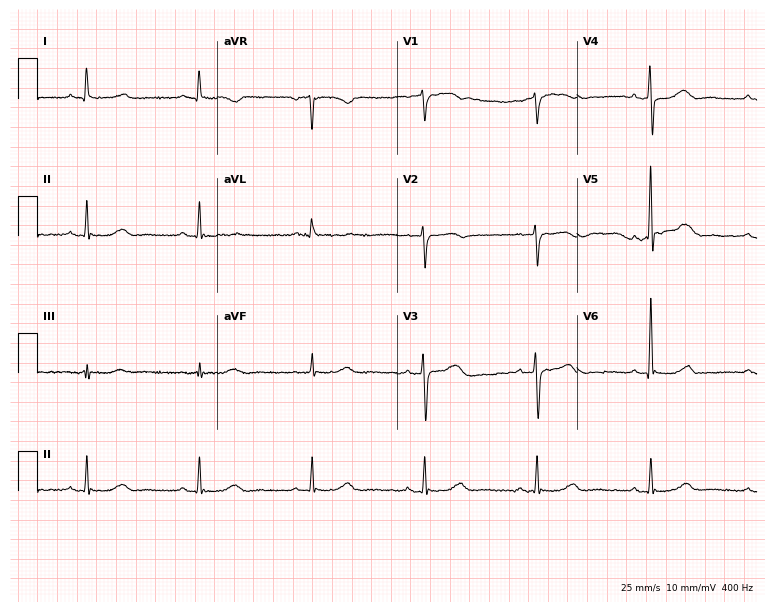
12-lead ECG from an 81-year-old male patient (7.3-second recording at 400 Hz). No first-degree AV block, right bundle branch block (RBBB), left bundle branch block (LBBB), sinus bradycardia, atrial fibrillation (AF) or sinus tachycardia recorded for this tracing. Findings outside these six are not listed.